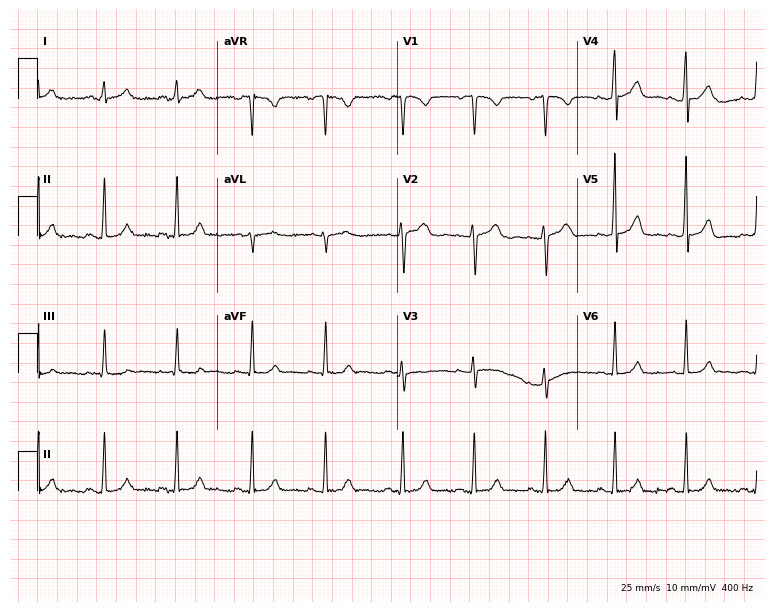
12-lead ECG (7.3-second recording at 400 Hz) from a female, 31 years old. Screened for six findings — first-degree AV block, right bundle branch block, left bundle branch block, sinus bradycardia, atrial fibrillation, sinus tachycardia — none is recorded. Other findings, if any, are not listed.